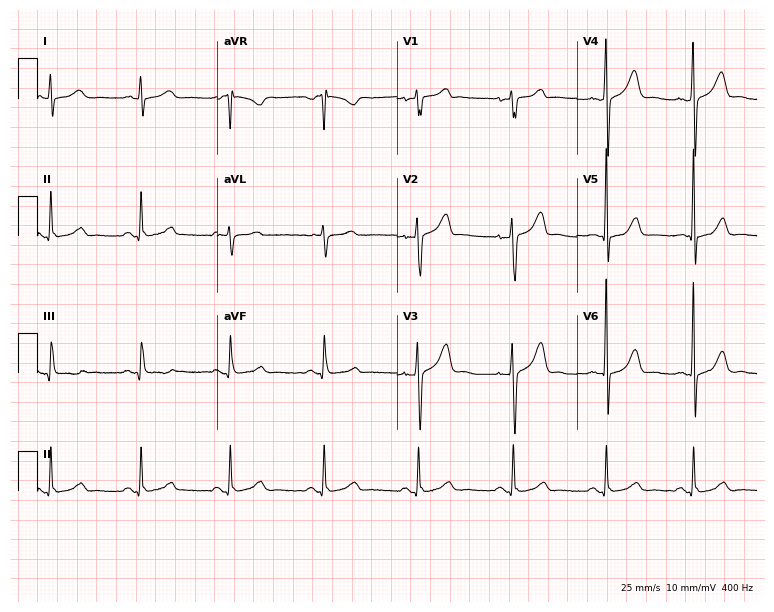
12-lead ECG from a male patient, 34 years old. Recorded interpretation: within normal limits.